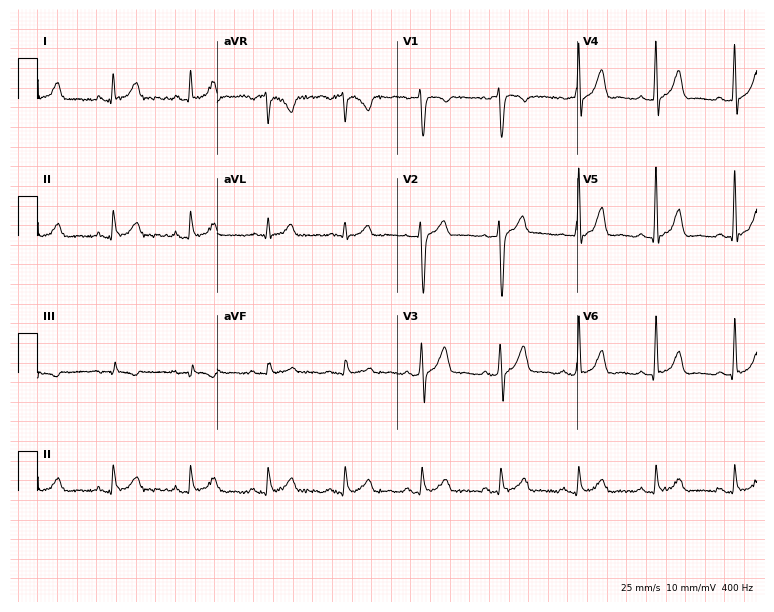
Standard 12-lead ECG recorded from a male, 40 years old (7.3-second recording at 400 Hz). Read as a normal ECG.